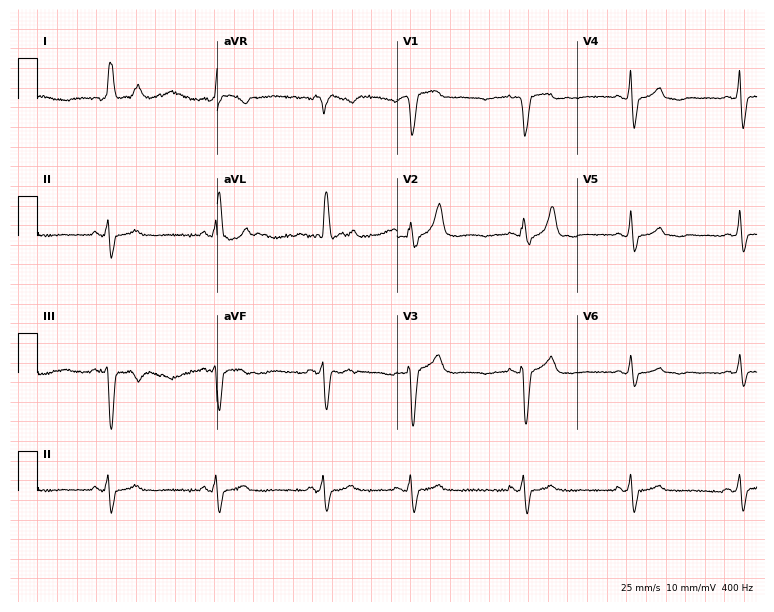
12-lead ECG from a female patient, 64 years old. Screened for six findings — first-degree AV block, right bundle branch block, left bundle branch block, sinus bradycardia, atrial fibrillation, sinus tachycardia — none is recorded. Other findings, if any, are not listed.